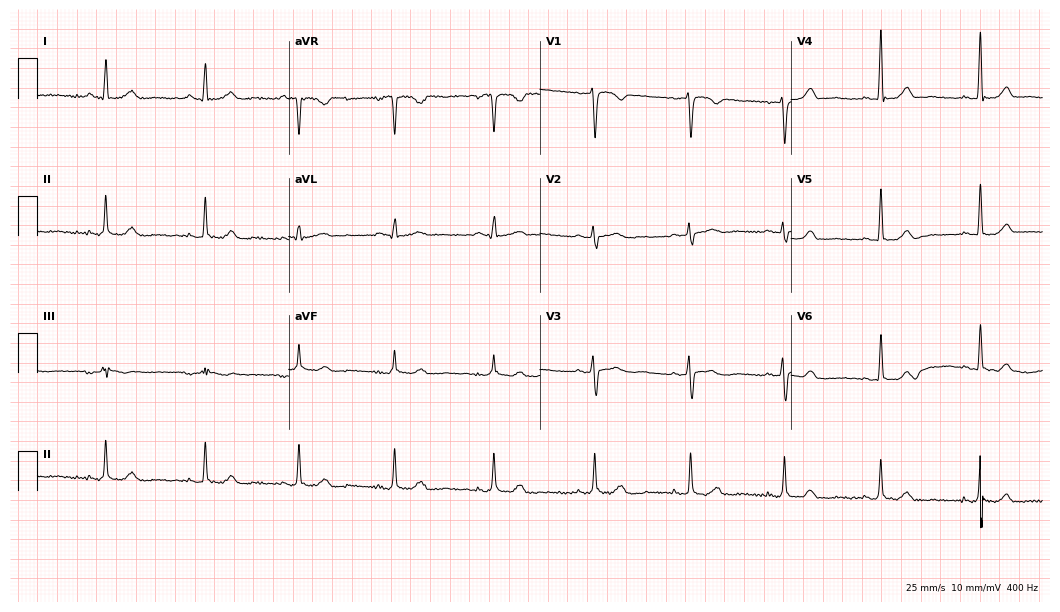
Standard 12-lead ECG recorded from a female, 38 years old (10.2-second recording at 400 Hz). None of these six findings is recorded: first-degree AV block, right bundle branch block, left bundle branch block, sinus bradycardia, atrial fibrillation, sinus tachycardia. Other findings, if any, are not listed.